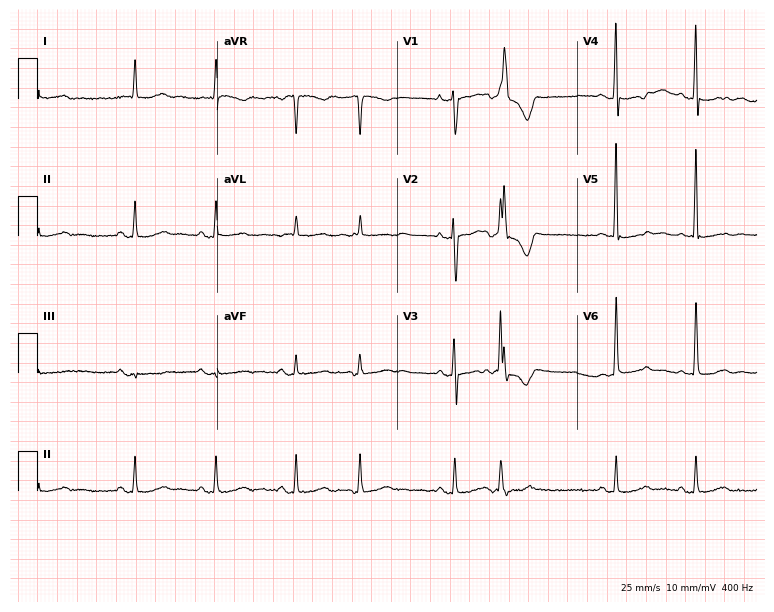
Standard 12-lead ECG recorded from an 85-year-old woman. None of these six findings is recorded: first-degree AV block, right bundle branch block, left bundle branch block, sinus bradycardia, atrial fibrillation, sinus tachycardia.